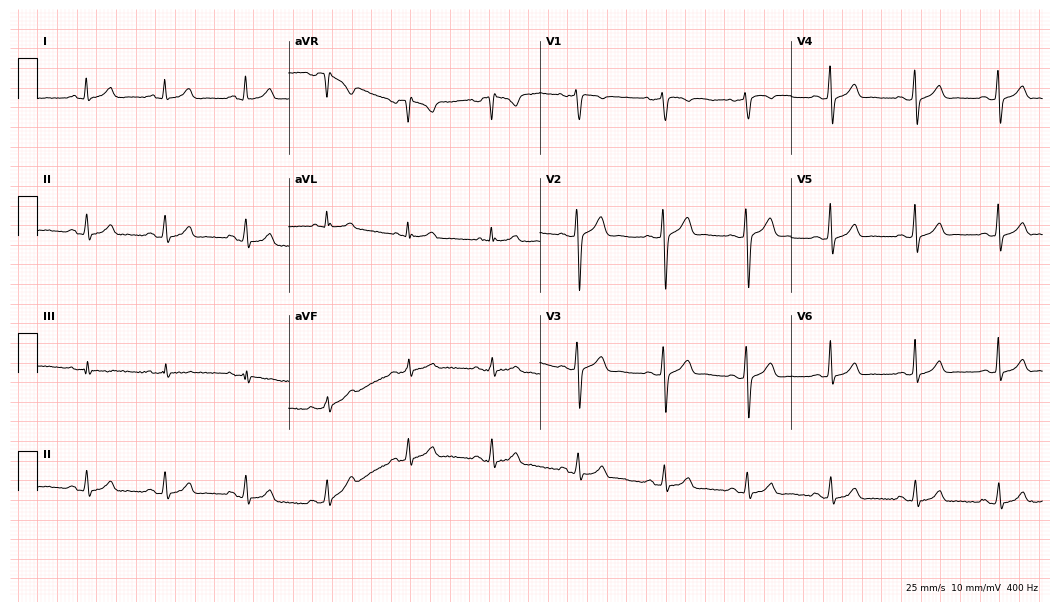
ECG — a man, 29 years old. Labelled as a normal ECG.